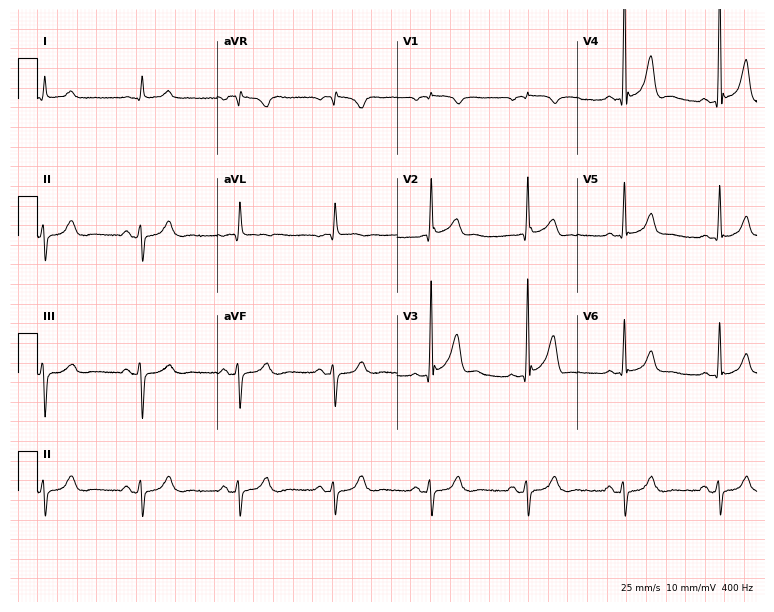
12-lead ECG from a 73-year-old male patient (7.3-second recording at 400 Hz). No first-degree AV block, right bundle branch block, left bundle branch block, sinus bradycardia, atrial fibrillation or sinus tachycardia recorded for this tracing. Other findings, if any, are not listed.